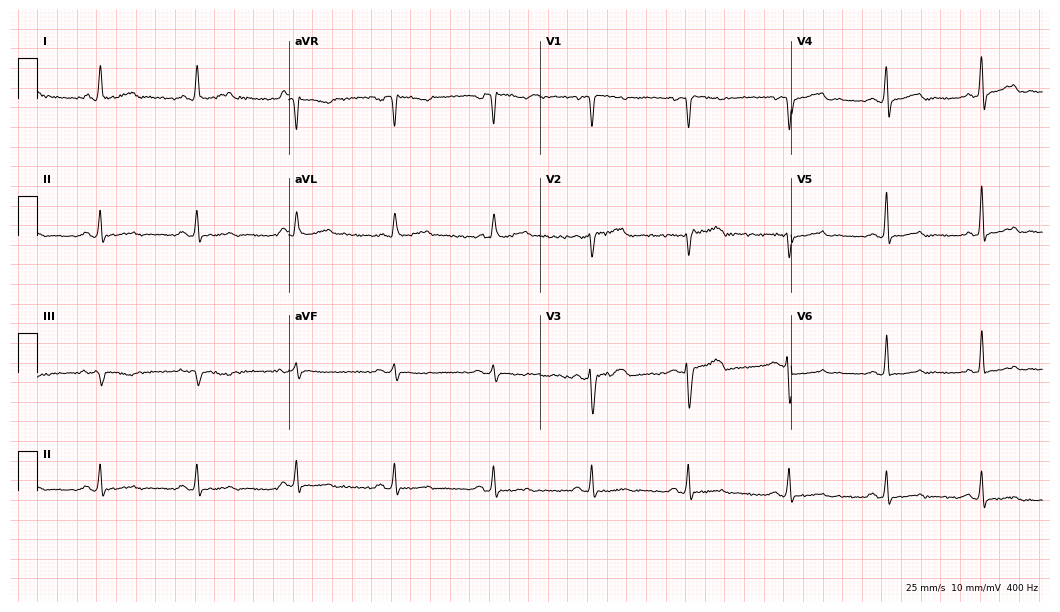
Resting 12-lead electrocardiogram (10.2-second recording at 400 Hz). Patient: a woman, 57 years old. Read as a normal ECG.